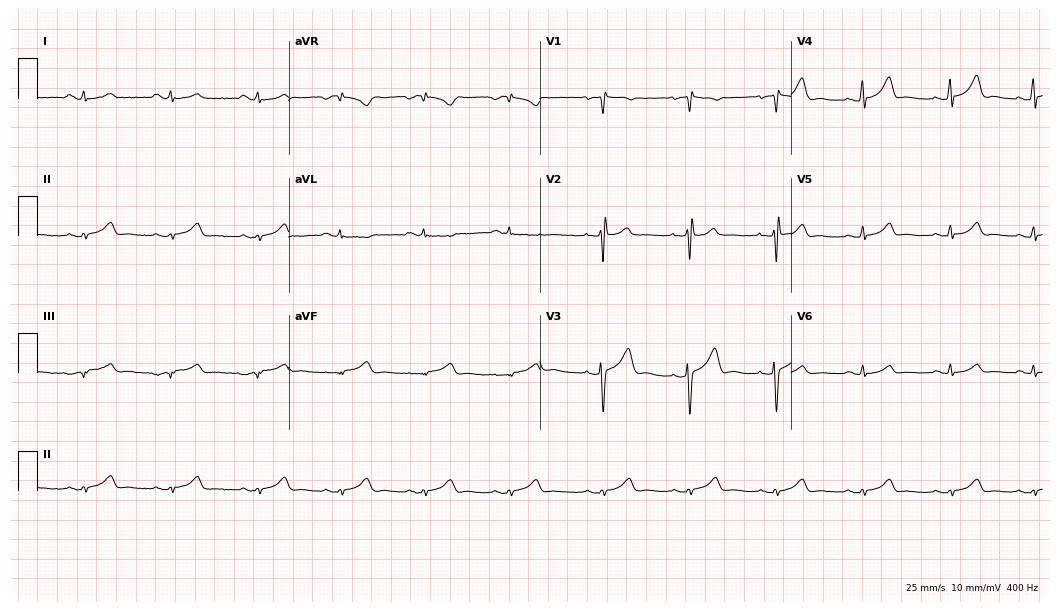
ECG — a 37-year-old female. Screened for six findings — first-degree AV block, right bundle branch block (RBBB), left bundle branch block (LBBB), sinus bradycardia, atrial fibrillation (AF), sinus tachycardia — none is recorded. Only these six findings were labelled.